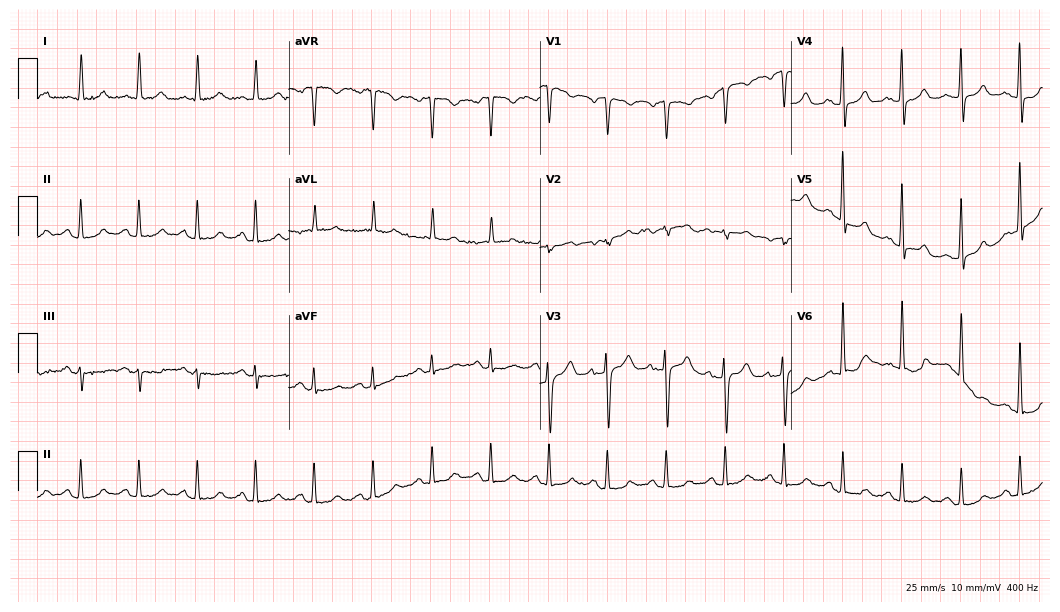
Resting 12-lead electrocardiogram. Patient: an 84-year-old female. None of these six findings is recorded: first-degree AV block, right bundle branch block, left bundle branch block, sinus bradycardia, atrial fibrillation, sinus tachycardia. Findings outside these six are not listed.